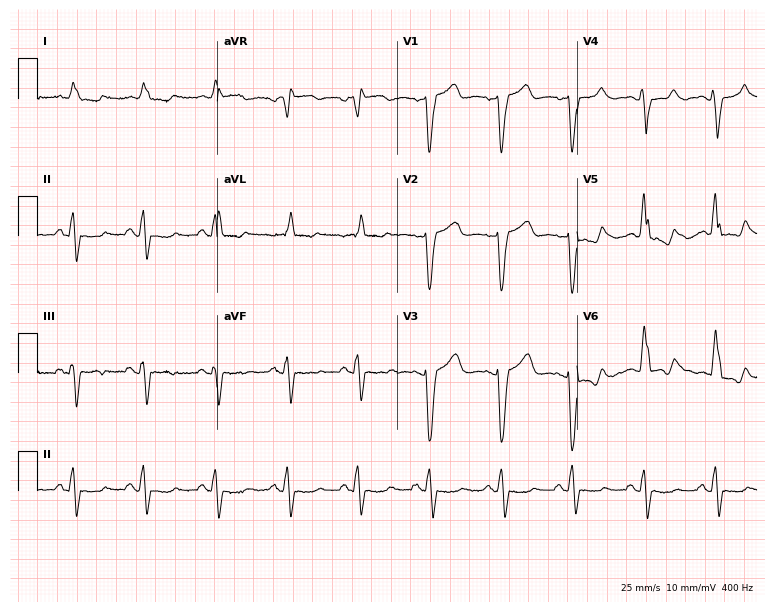
12-lead ECG from a female, 82 years old. Findings include left bundle branch block (LBBB).